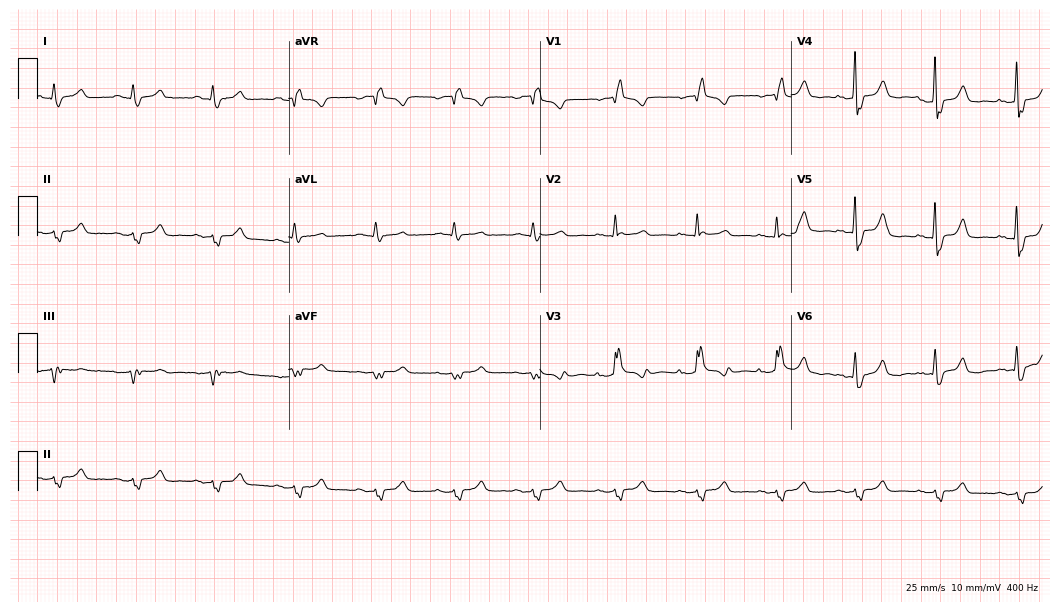
Standard 12-lead ECG recorded from a 56-year-old woman (10.2-second recording at 400 Hz). None of these six findings is recorded: first-degree AV block, right bundle branch block, left bundle branch block, sinus bradycardia, atrial fibrillation, sinus tachycardia. Findings outside these six are not listed.